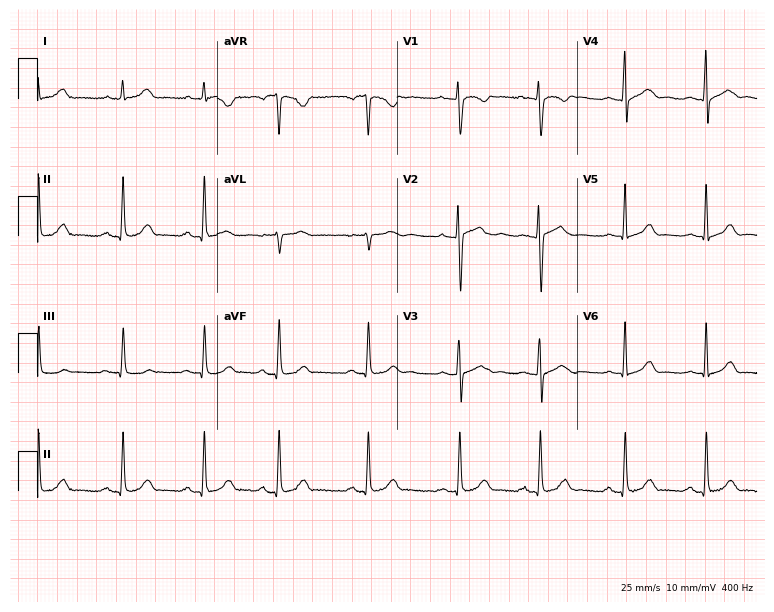
Electrocardiogram, a 21-year-old female. Of the six screened findings (first-degree AV block, right bundle branch block, left bundle branch block, sinus bradycardia, atrial fibrillation, sinus tachycardia), none is recorded.